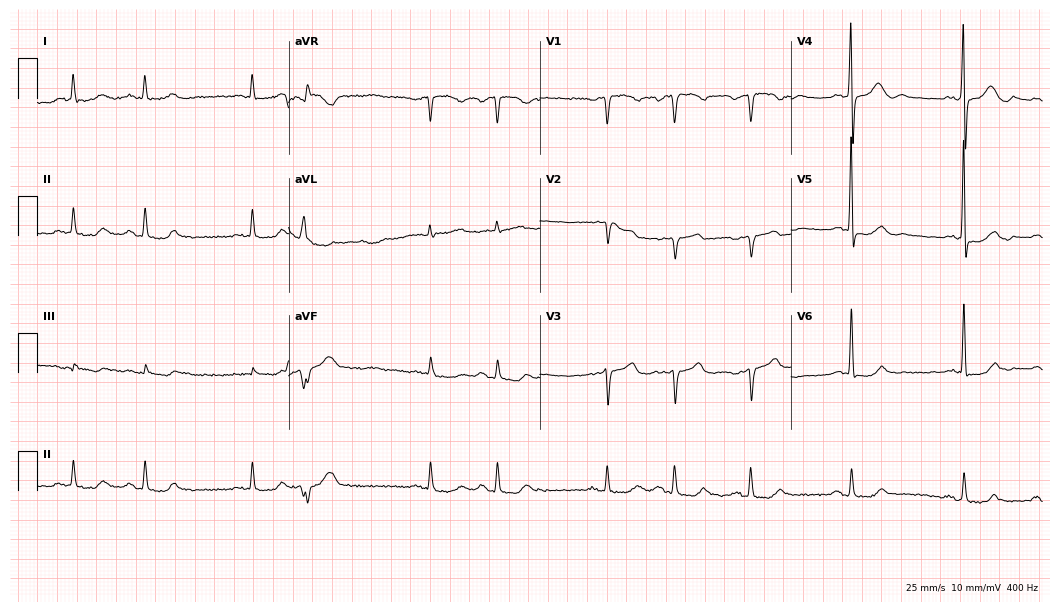
Resting 12-lead electrocardiogram. Patient: an 82-year-old male. None of these six findings is recorded: first-degree AV block, right bundle branch block, left bundle branch block, sinus bradycardia, atrial fibrillation, sinus tachycardia.